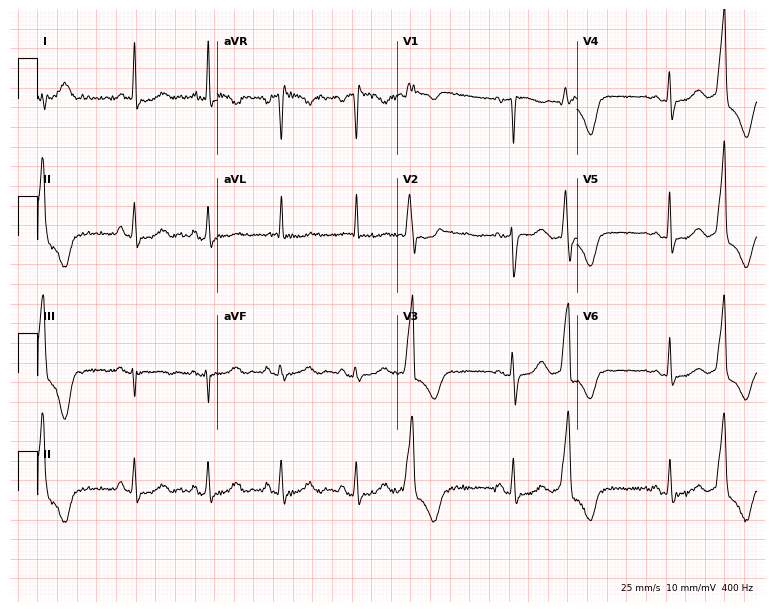
ECG (7.3-second recording at 400 Hz) — a woman, 59 years old. Screened for six findings — first-degree AV block, right bundle branch block, left bundle branch block, sinus bradycardia, atrial fibrillation, sinus tachycardia — none is recorded. Findings outside these six are not listed.